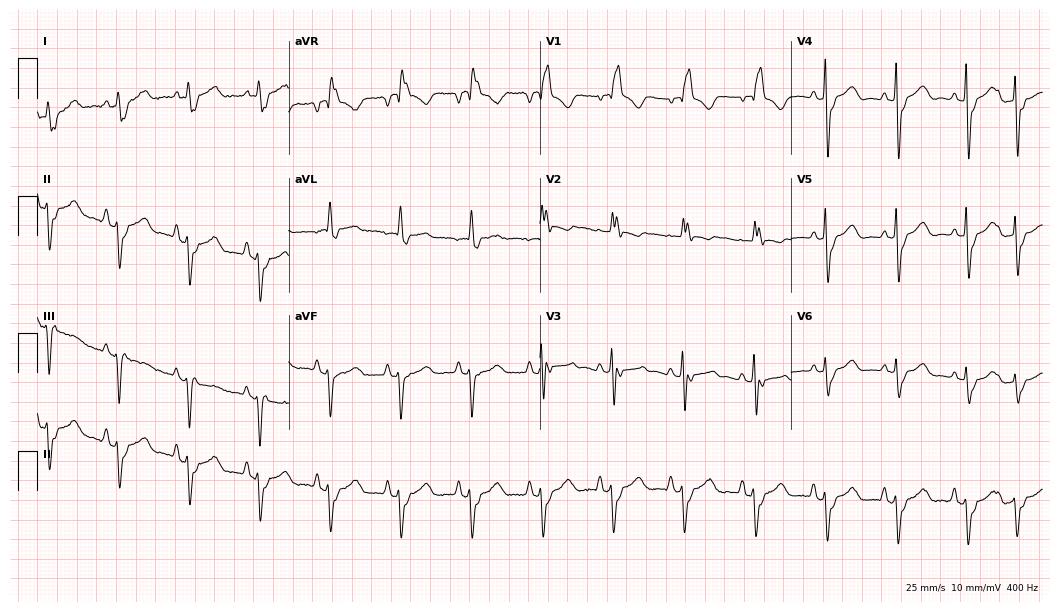
12-lead ECG from a woman, 64 years old. Findings include right bundle branch block.